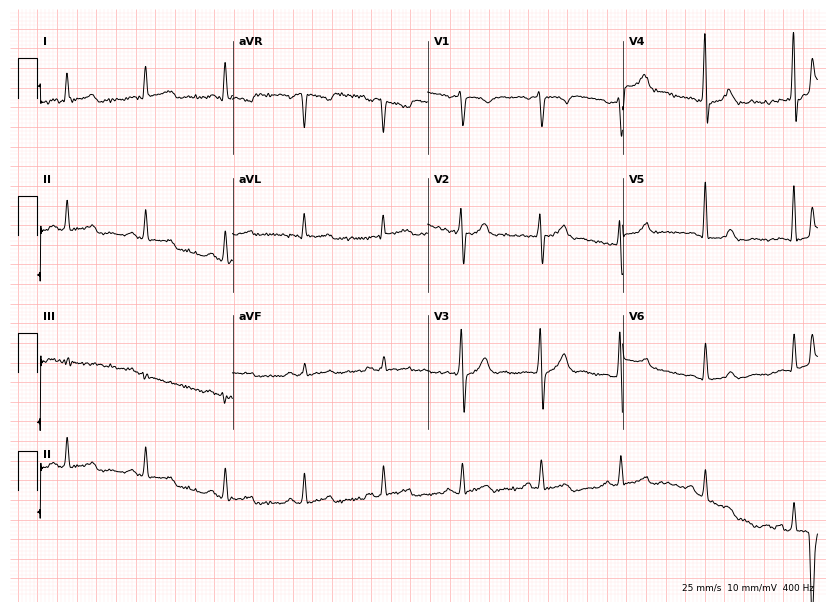
Standard 12-lead ECG recorded from a 34-year-old woman (8-second recording at 400 Hz). Read as a normal ECG.